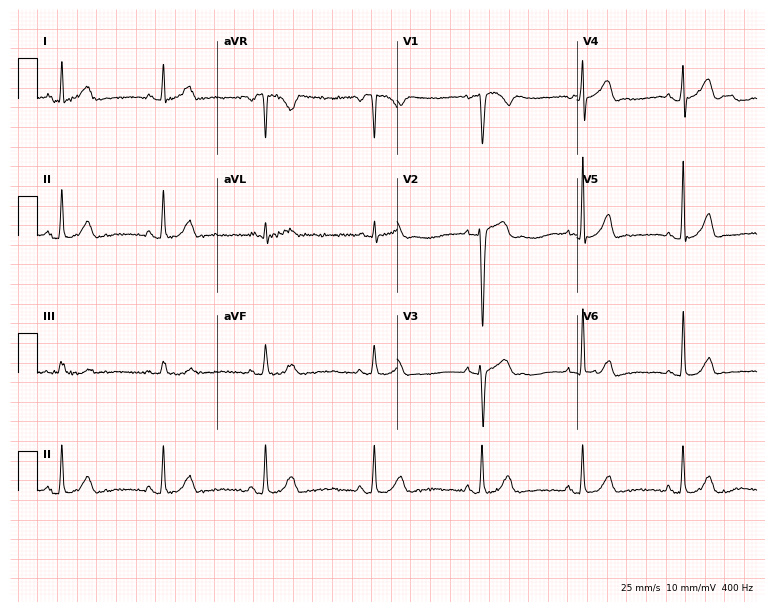
Electrocardiogram (7.3-second recording at 400 Hz), a man, 22 years old. Overall reading on record: normal ECG.